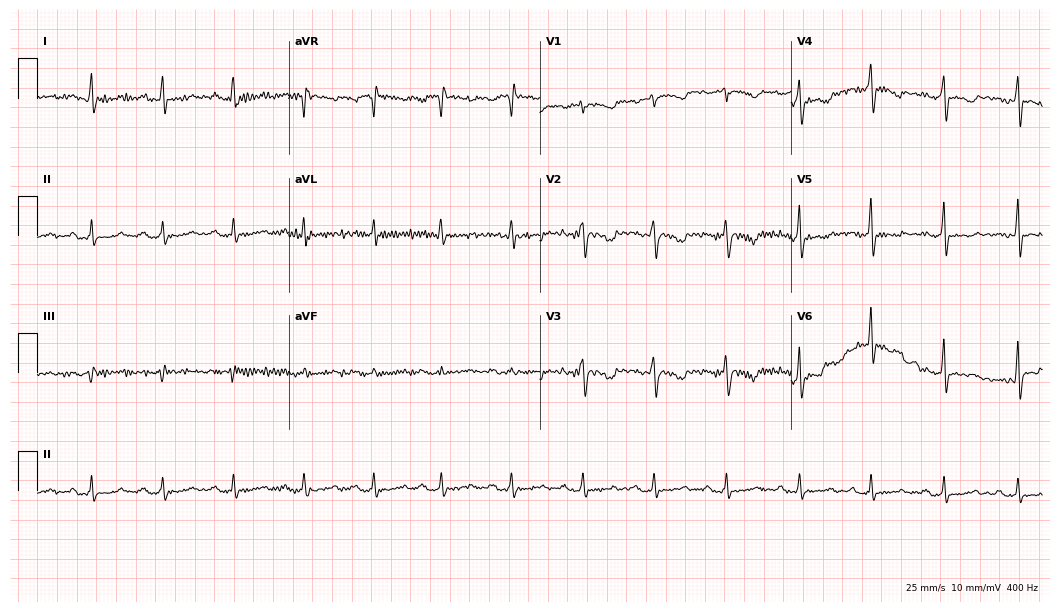
Resting 12-lead electrocardiogram (10.2-second recording at 400 Hz). Patient: a 33-year-old female. None of these six findings is recorded: first-degree AV block, right bundle branch block, left bundle branch block, sinus bradycardia, atrial fibrillation, sinus tachycardia. Other findings, if any, are not listed.